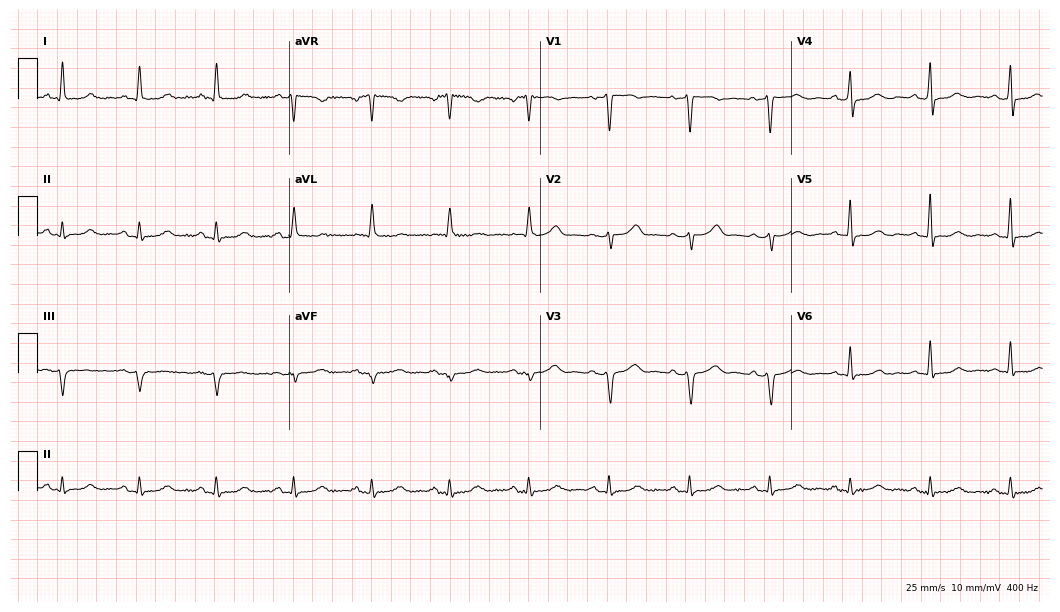
Resting 12-lead electrocardiogram (10.2-second recording at 400 Hz). Patient: a female, 51 years old. None of these six findings is recorded: first-degree AV block, right bundle branch block, left bundle branch block, sinus bradycardia, atrial fibrillation, sinus tachycardia.